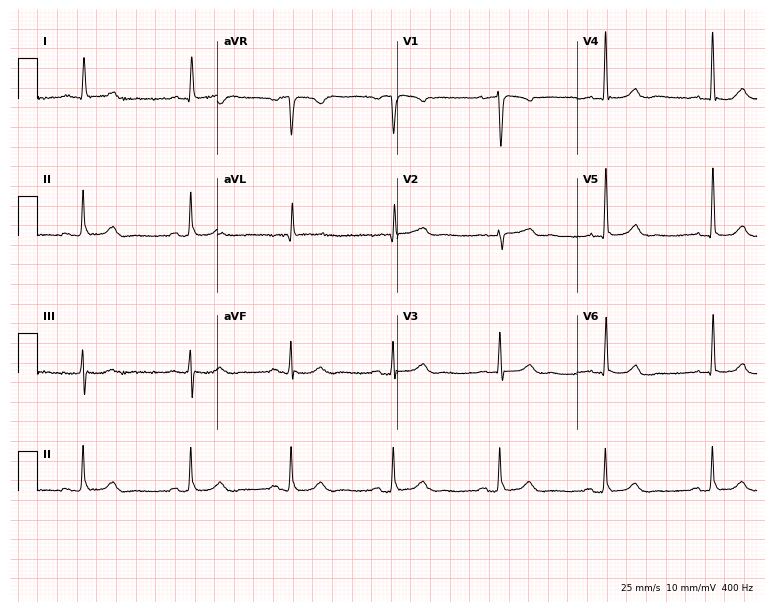
12-lead ECG from a woman, 73 years old. Screened for six findings — first-degree AV block, right bundle branch block (RBBB), left bundle branch block (LBBB), sinus bradycardia, atrial fibrillation (AF), sinus tachycardia — none is recorded.